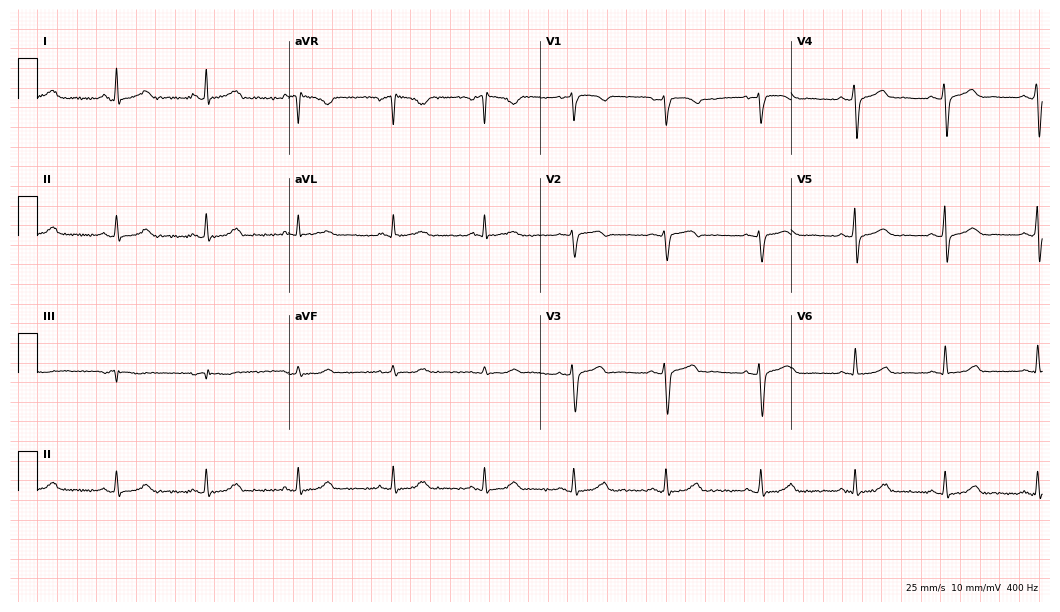
ECG — a 39-year-old female patient. Labelled as a normal ECG.